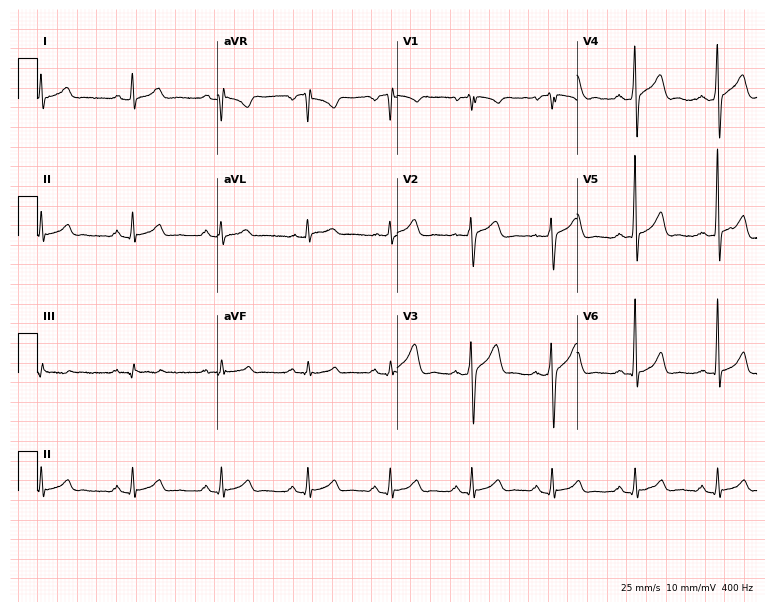
Standard 12-lead ECG recorded from a man, 30 years old (7.3-second recording at 400 Hz). Read as a normal ECG.